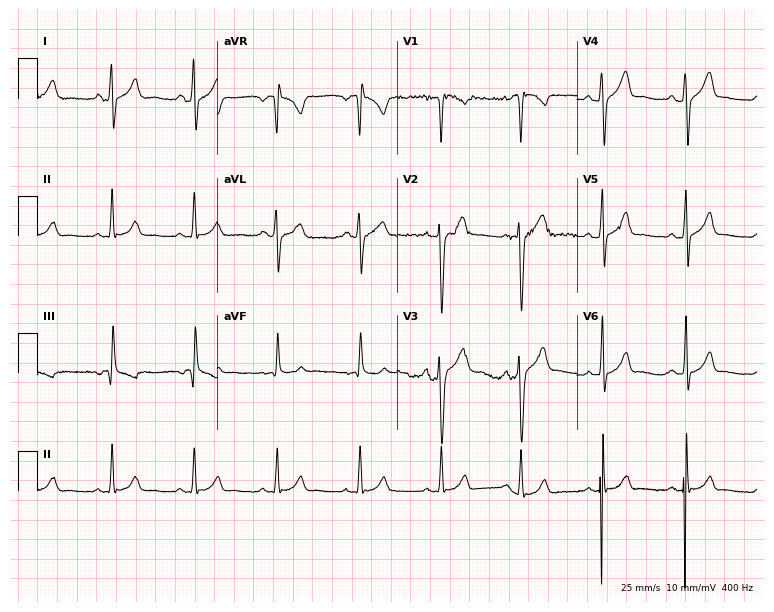
12-lead ECG (7.3-second recording at 400 Hz) from a 27-year-old man. Labelled as a normal ECG.